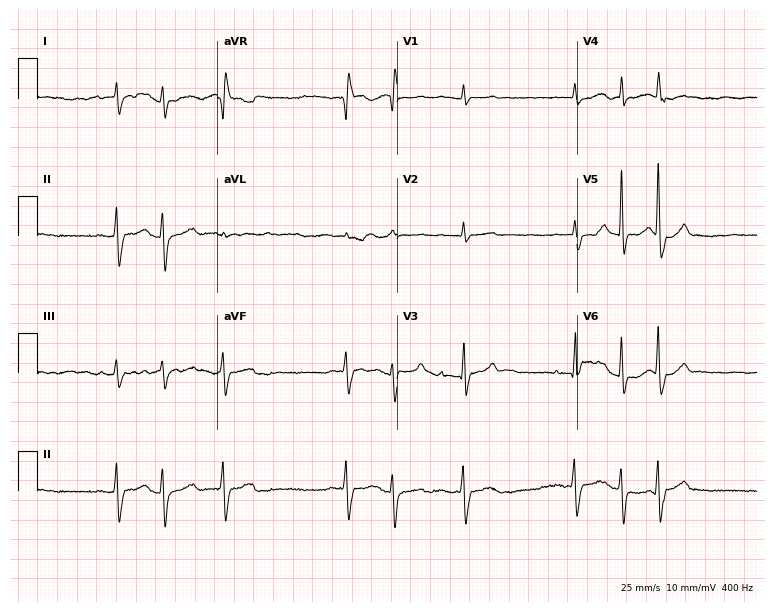
12-lead ECG from a 69-year-old female (7.3-second recording at 400 Hz). No first-degree AV block, right bundle branch block, left bundle branch block, sinus bradycardia, atrial fibrillation or sinus tachycardia recorded for this tracing. Findings outside these six are not listed.